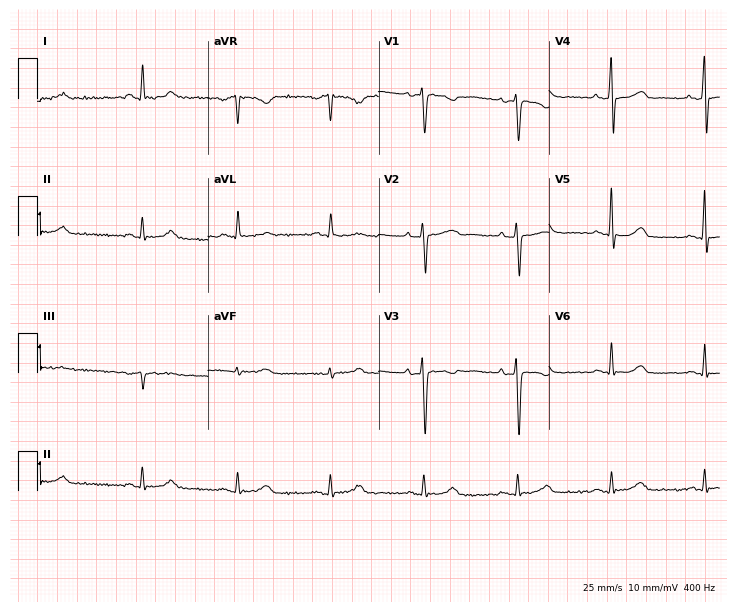
Resting 12-lead electrocardiogram. Patient: a 48-year-old woman. Read as a normal ECG.